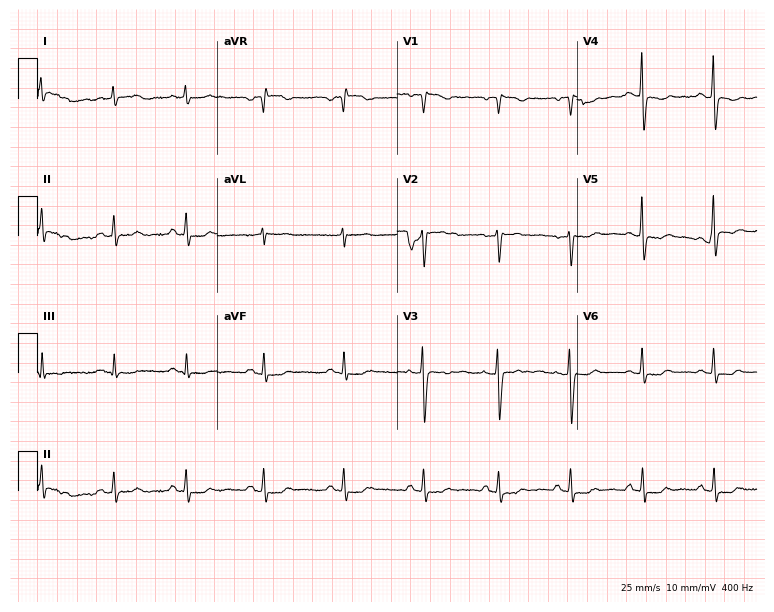
Standard 12-lead ECG recorded from a female patient, 53 years old (7.3-second recording at 400 Hz). None of these six findings is recorded: first-degree AV block, right bundle branch block, left bundle branch block, sinus bradycardia, atrial fibrillation, sinus tachycardia. Findings outside these six are not listed.